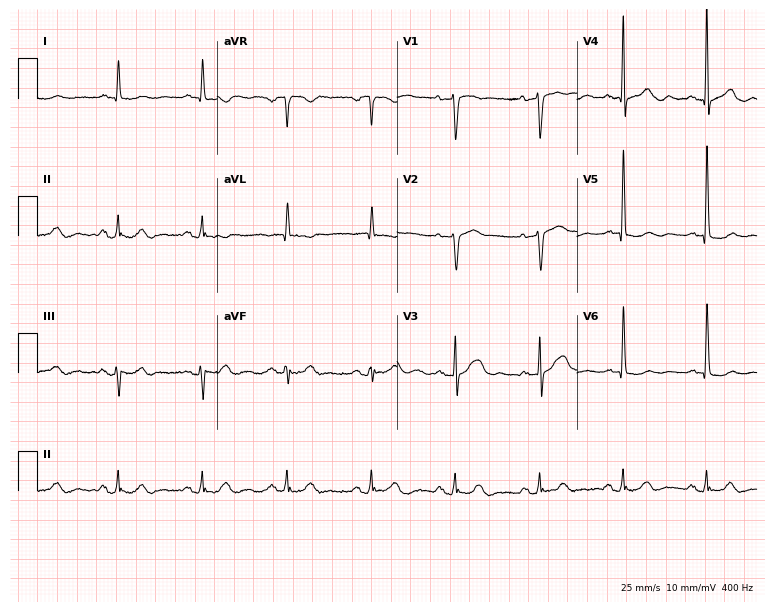
Electrocardiogram (7.3-second recording at 400 Hz), a woman, 84 years old. Of the six screened findings (first-degree AV block, right bundle branch block, left bundle branch block, sinus bradycardia, atrial fibrillation, sinus tachycardia), none is recorded.